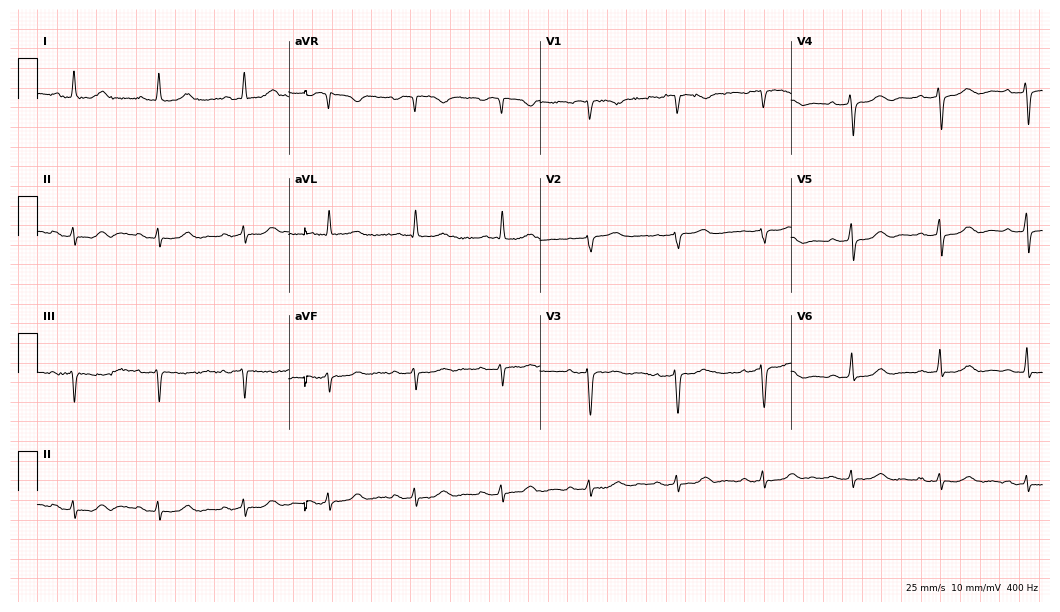
Standard 12-lead ECG recorded from a 73-year-old female. None of these six findings is recorded: first-degree AV block, right bundle branch block, left bundle branch block, sinus bradycardia, atrial fibrillation, sinus tachycardia. Other findings, if any, are not listed.